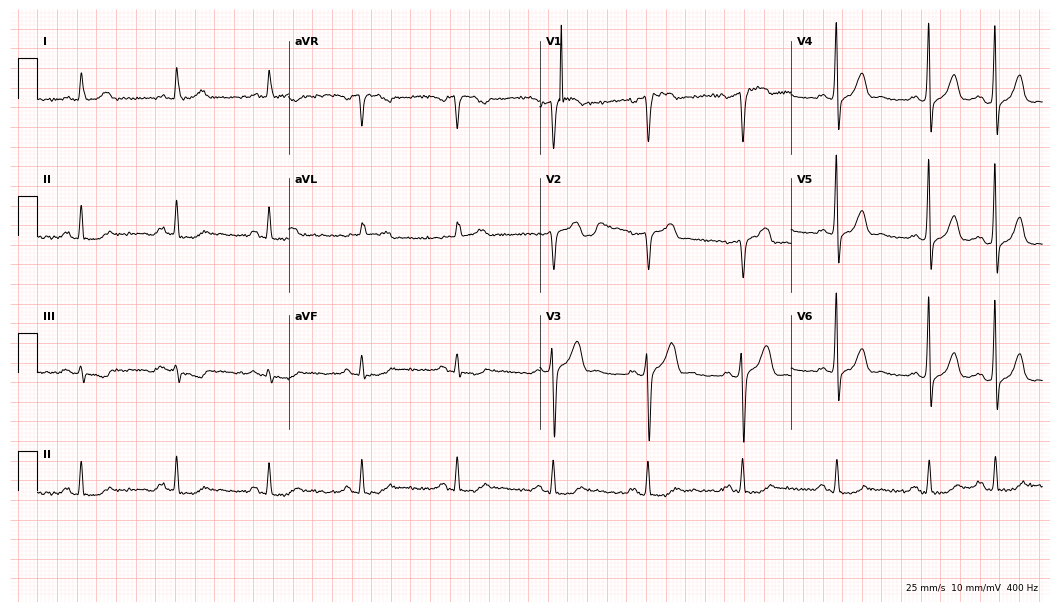
12-lead ECG from a man, 55 years old. No first-degree AV block, right bundle branch block, left bundle branch block, sinus bradycardia, atrial fibrillation or sinus tachycardia recorded for this tracing.